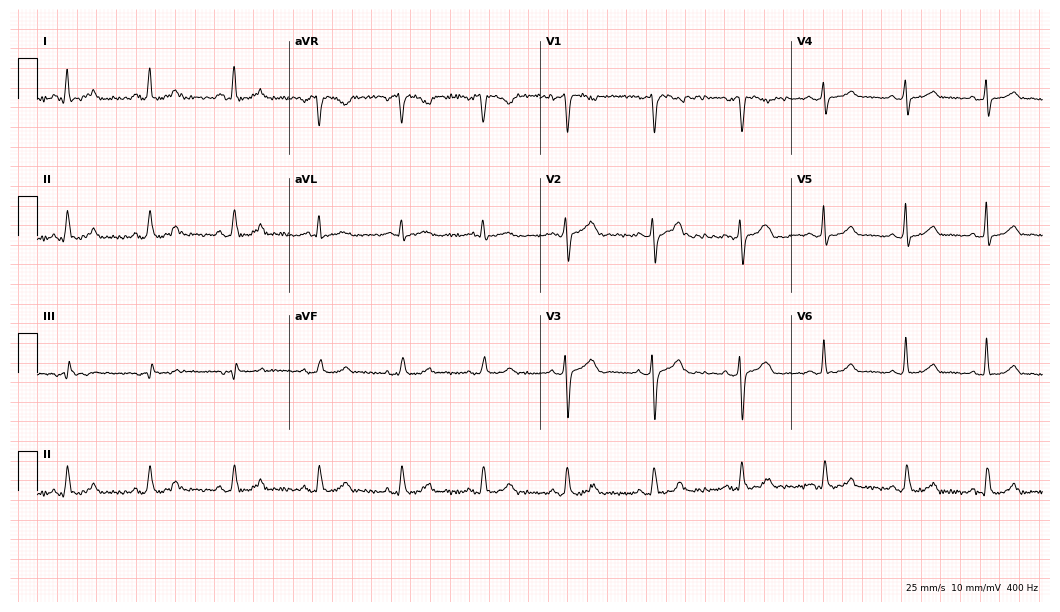
Resting 12-lead electrocardiogram (10.2-second recording at 400 Hz). Patient: a 49-year-old woman. Read as a normal ECG.